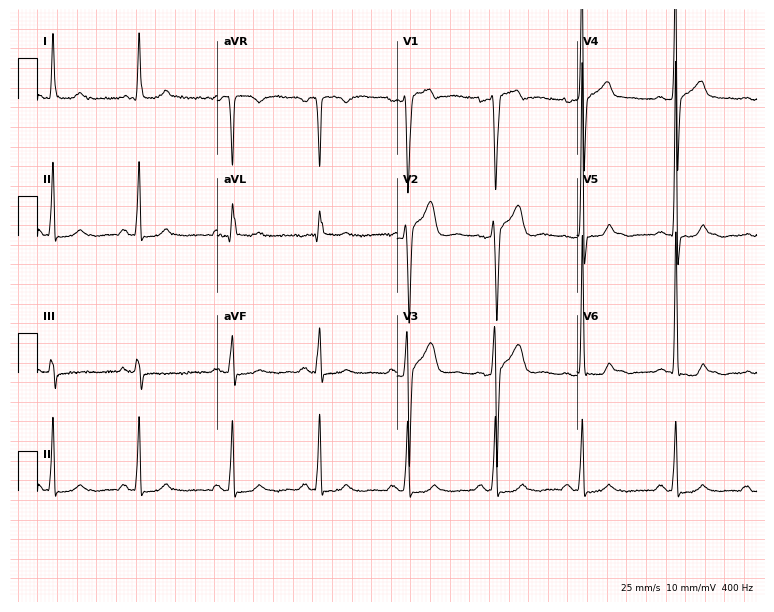
Electrocardiogram, a 38-year-old man. Of the six screened findings (first-degree AV block, right bundle branch block, left bundle branch block, sinus bradycardia, atrial fibrillation, sinus tachycardia), none is recorded.